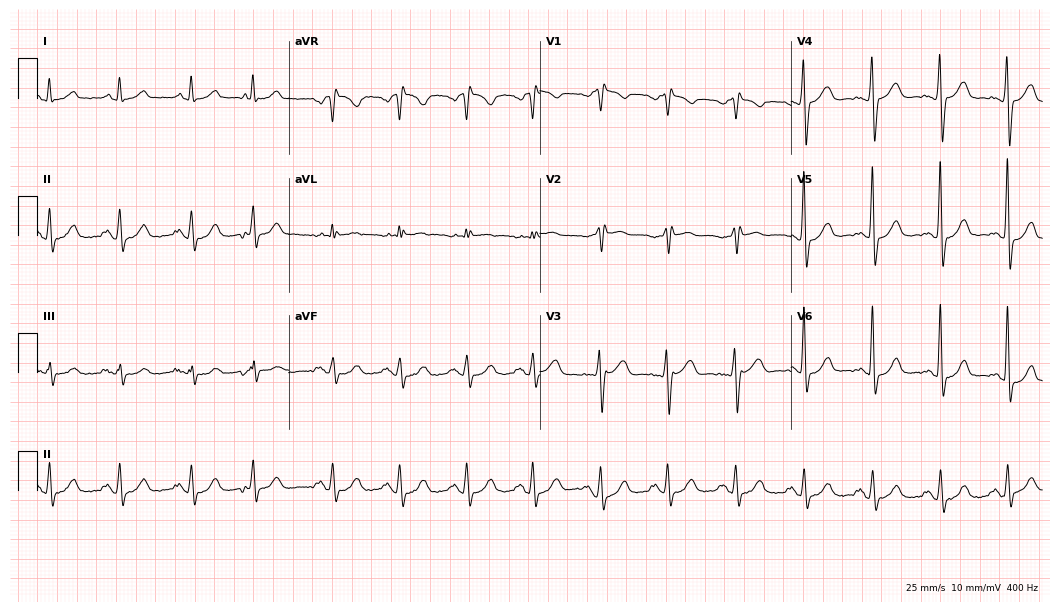
Electrocardiogram, a female, 59 years old. Of the six screened findings (first-degree AV block, right bundle branch block (RBBB), left bundle branch block (LBBB), sinus bradycardia, atrial fibrillation (AF), sinus tachycardia), none is recorded. Only these six findings were labelled.